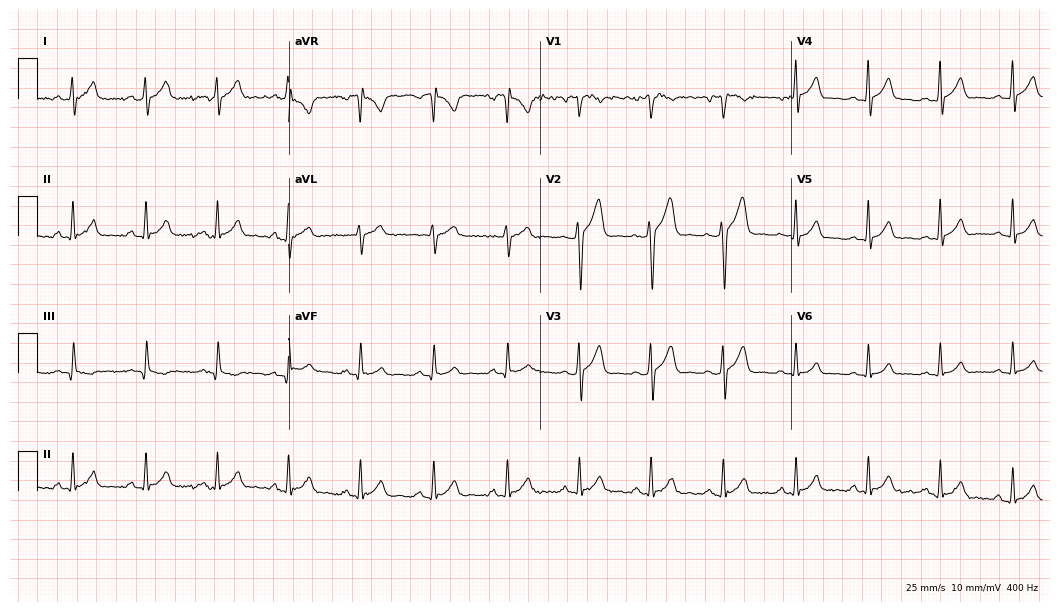
Standard 12-lead ECG recorded from a male, 23 years old. Read as a normal ECG.